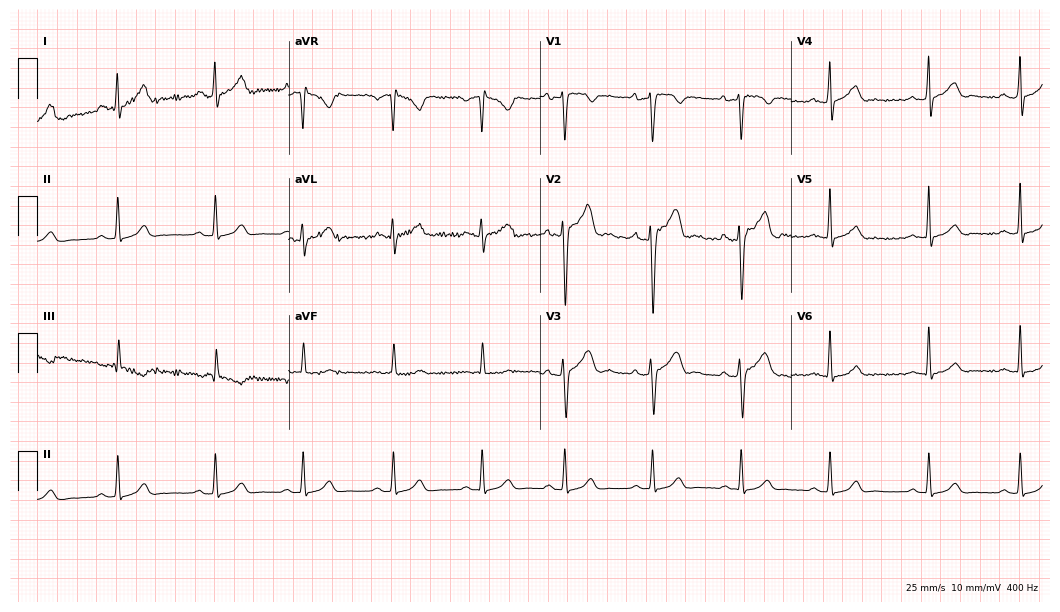
Electrocardiogram (10.2-second recording at 400 Hz), a 27-year-old male patient. Overall reading on record: normal ECG.